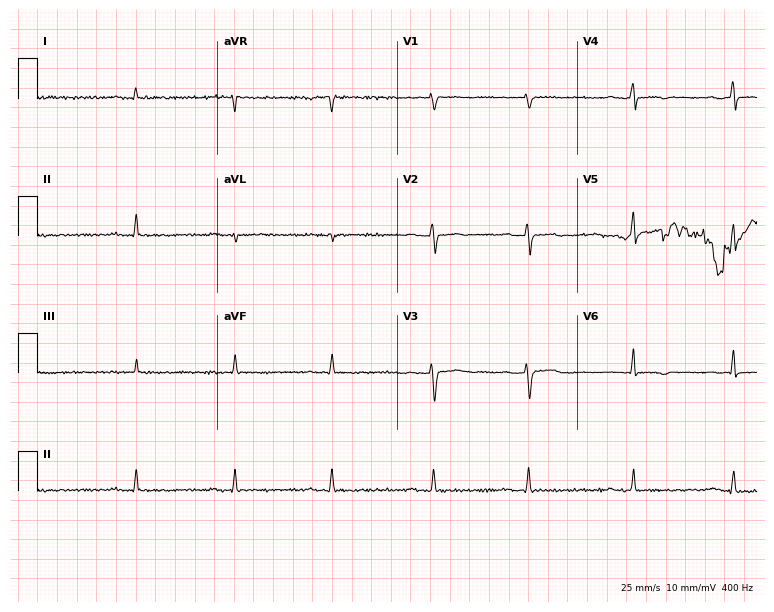
Electrocardiogram (7.3-second recording at 400 Hz), a 27-year-old female patient. Of the six screened findings (first-degree AV block, right bundle branch block (RBBB), left bundle branch block (LBBB), sinus bradycardia, atrial fibrillation (AF), sinus tachycardia), none is recorded.